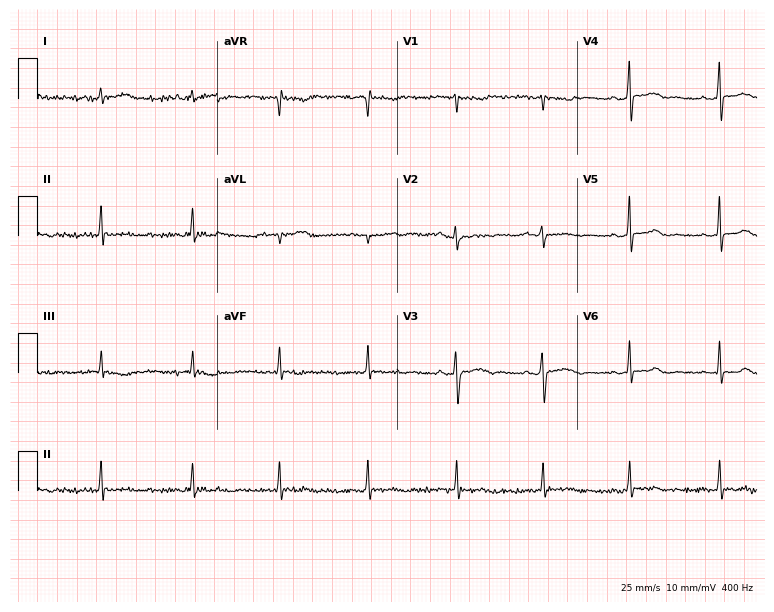
Resting 12-lead electrocardiogram. Patient: a female, 24 years old. Read as a normal ECG.